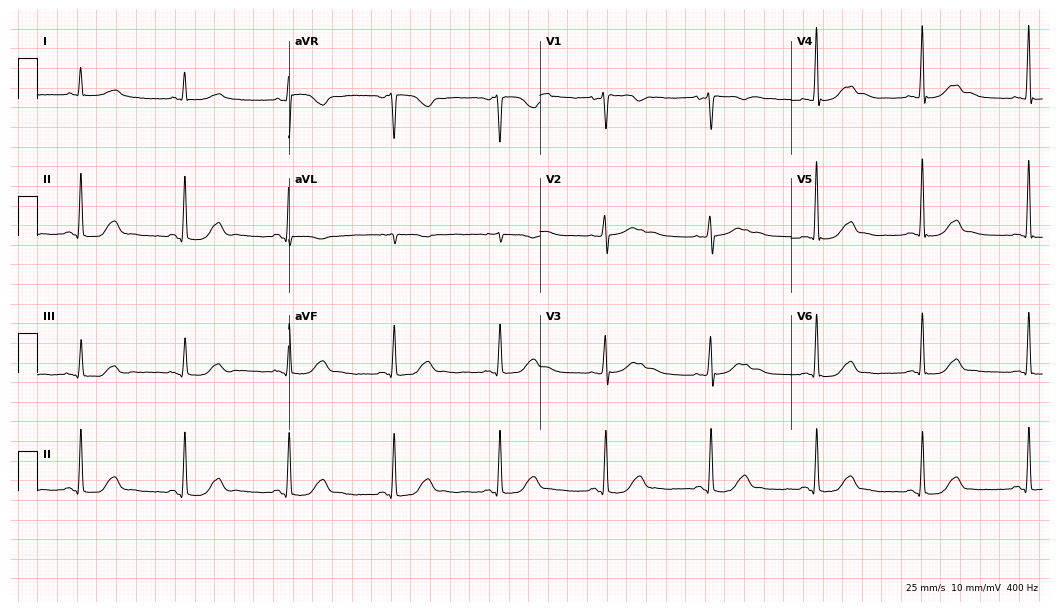
ECG — a female patient, 66 years old. Labelled as a normal ECG.